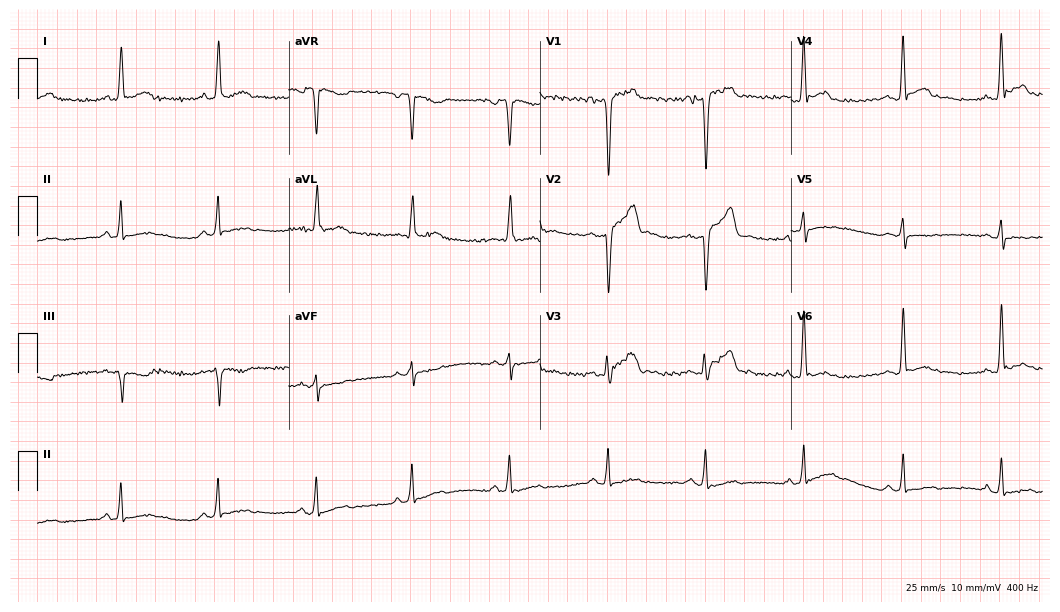
12-lead ECG from a 41-year-old male (10.2-second recording at 400 Hz). Recorded interpretation: within normal limits.